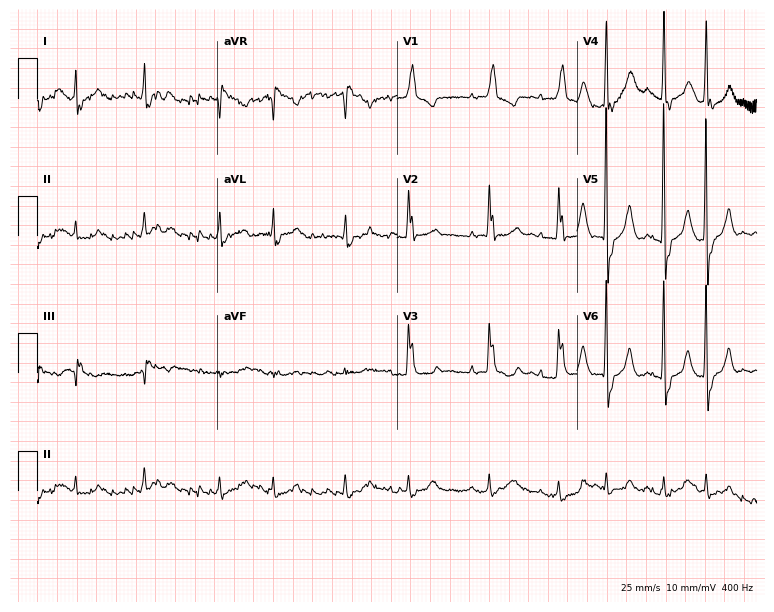
12-lead ECG from a male patient, 84 years old (7.3-second recording at 400 Hz). No first-degree AV block, right bundle branch block, left bundle branch block, sinus bradycardia, atrial fibrillation or sinus tachycardia recorded for this tracing. Only these six findings were labelled.